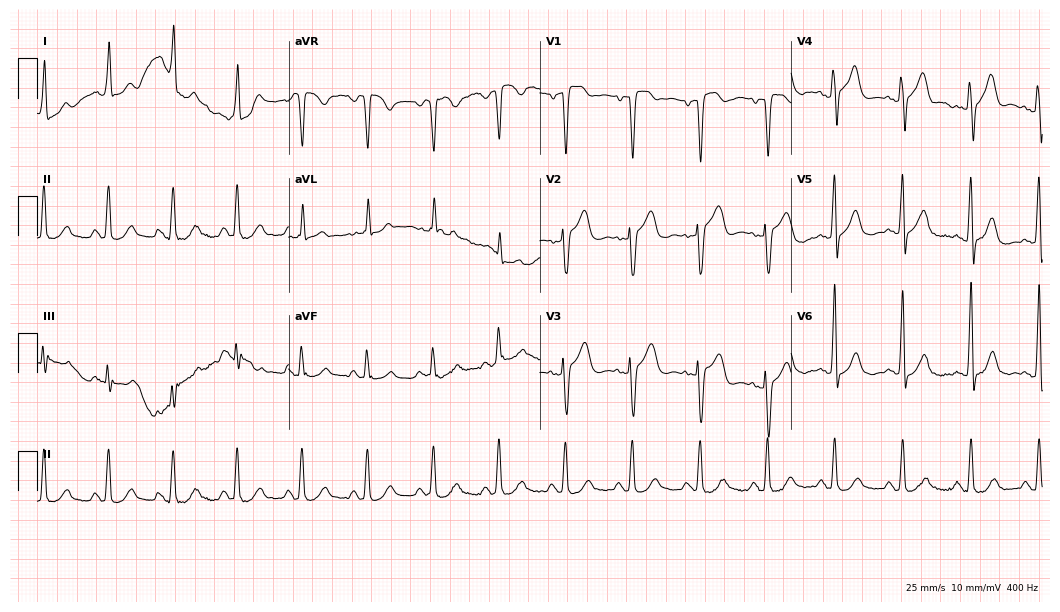
Resting 12-lead electrocardiogram (10.2-second recording at 400 Hz). Patient: a female, 65 years old. None of these six findings is recorded: first-degree AV block, right bundle branch block, left bundle branch block, sinus bradycardia, atrial fibrillation, sinus tachycardia. Only these six findings were labelled.